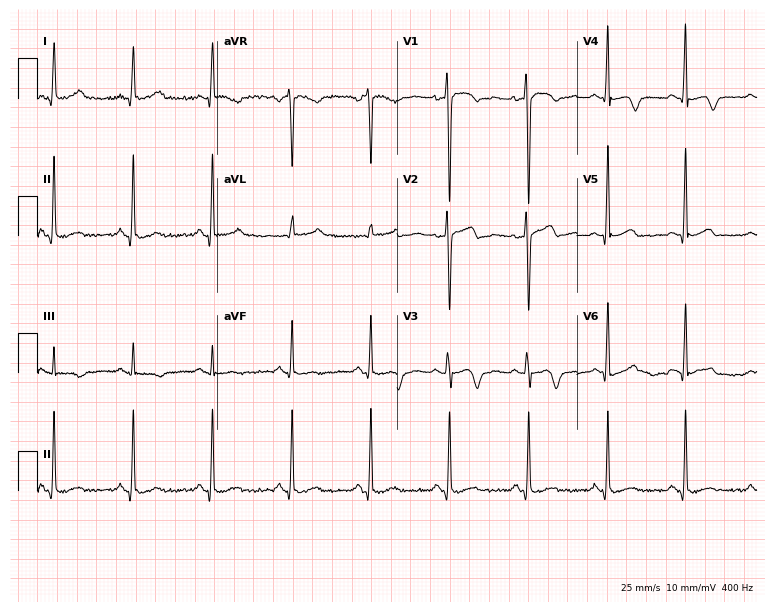
ECG — a 47-year-old woman. Labelled as a normal ECG.